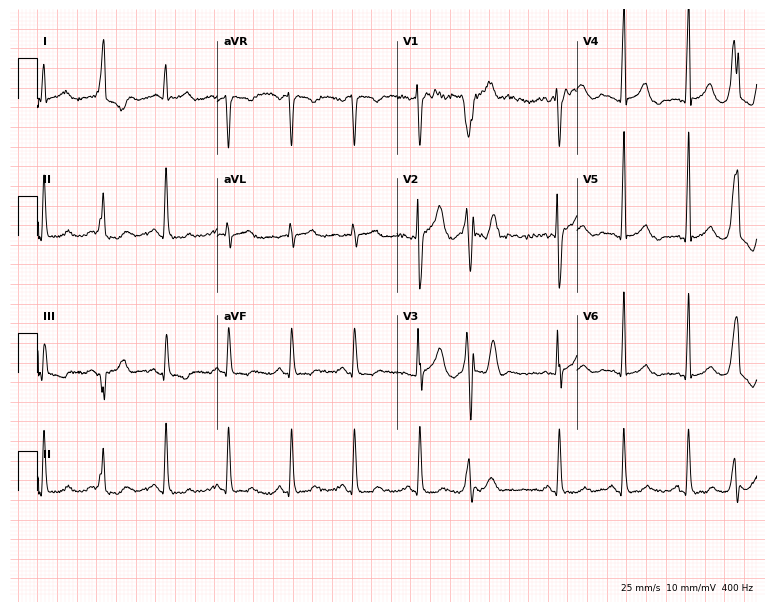
12-lead ECG from a male, 55 years old. Screened for six findings — first-degree AV block, right bundle branch block, left bundle branch block, sinus bradycardia, atrial fibrillation, sinus tachycardia — none is recorded. Only these six findings were labelled.